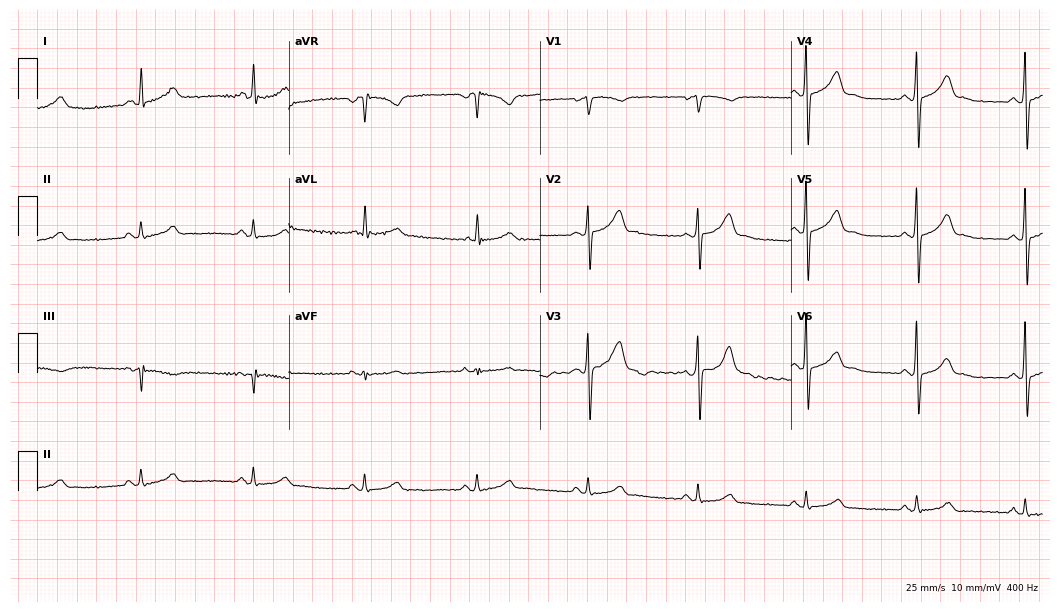
ECG — a man, 63 years old. Labelled as a normal ECG.